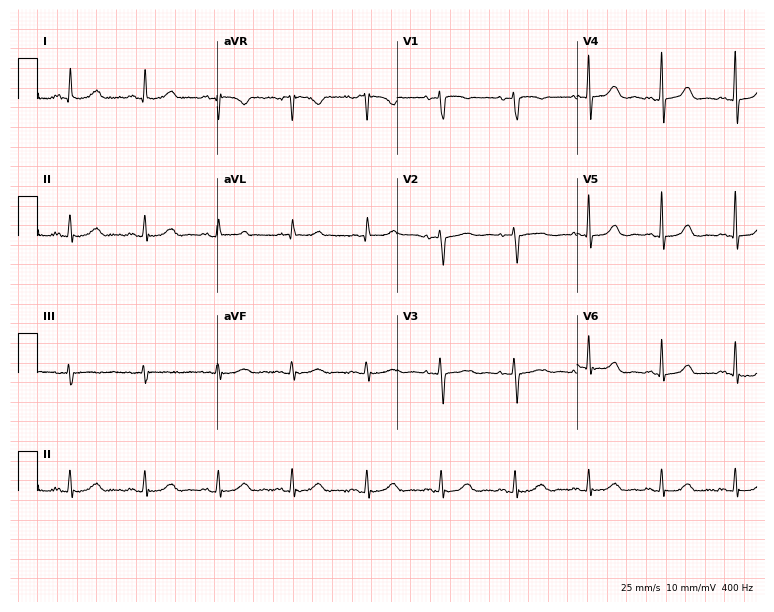
ECG (7.3-second recording at 400 Hz) — a female, 53 years old. Labelled as a normal ECG.